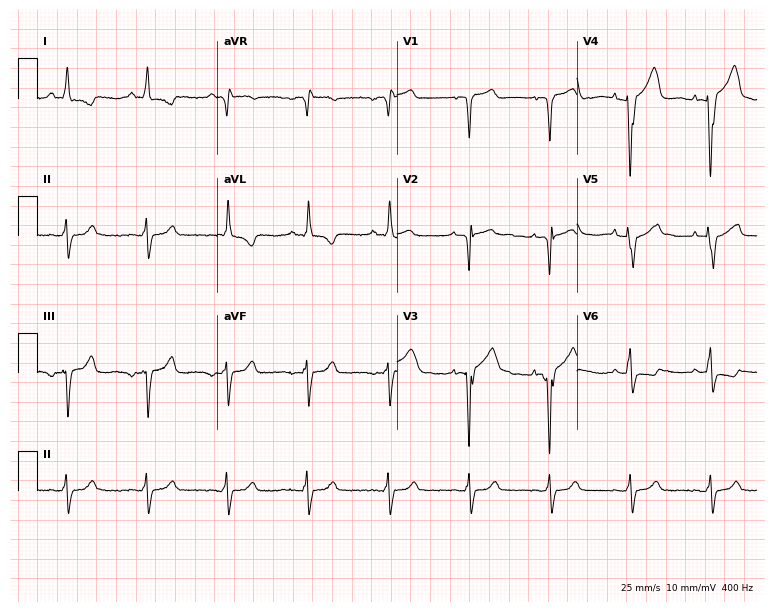
ECG — an 84-year-old male. Screened for six findings — first-degree AV block, right bundle branch block (RBBB), left bundle branch block (LBBB), sinus bradycardia, atrial fibrillation (AF), sinus tachycardia — none is recorded. Findings outside these six are not listed.